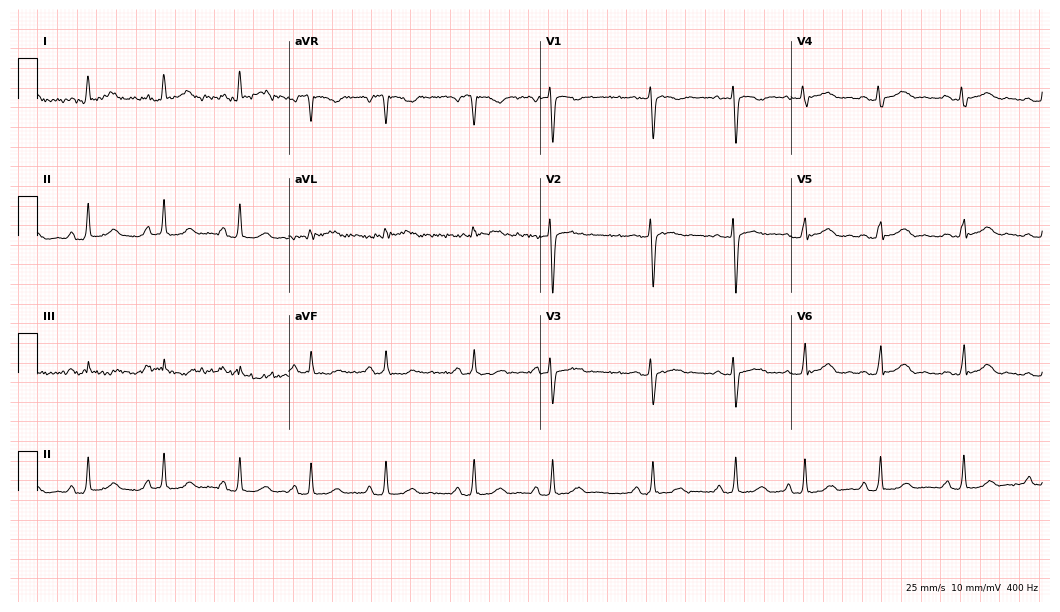
12-lead ECG from a 34-year-old woman. Labelled as a normal ECG.